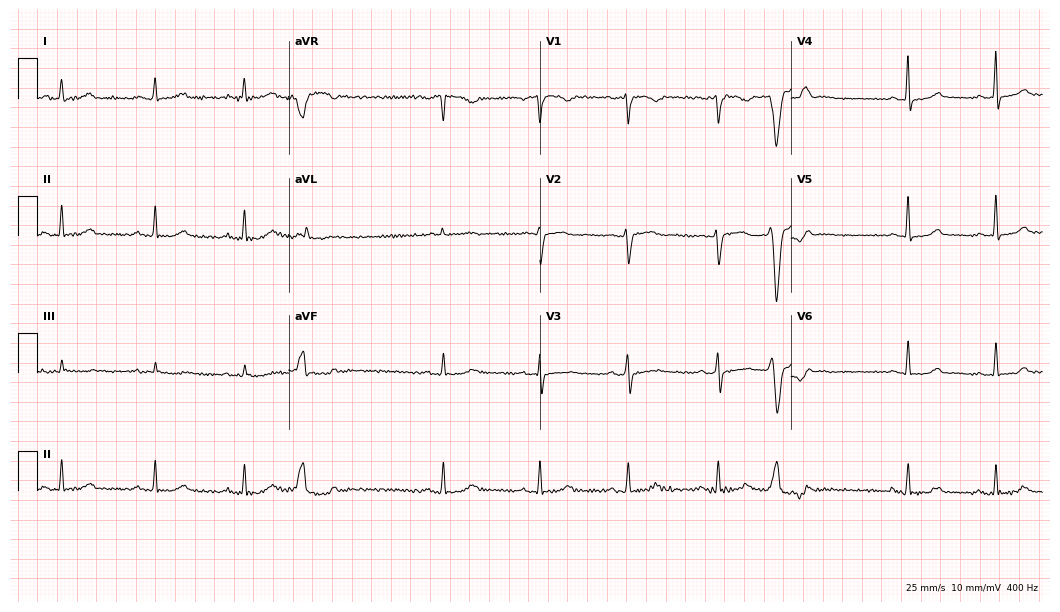
ECG — a female, 47 years old. Screened for six findings — first-degree AV block, right bundle branch block (RBBB), left bundle branch block (LBBB), sinus bradycardia, atrial fibrillation (AF), sinus tachycardia — none is recorded.